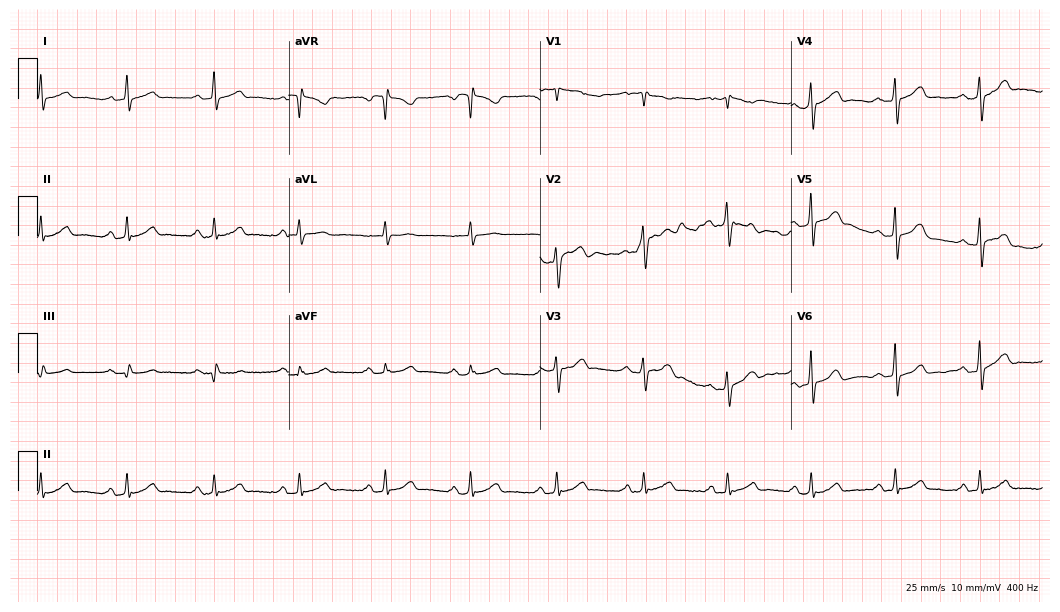
Standard 12-lead ECG recorded from a male, 65 years old. Read as a normal ECG.